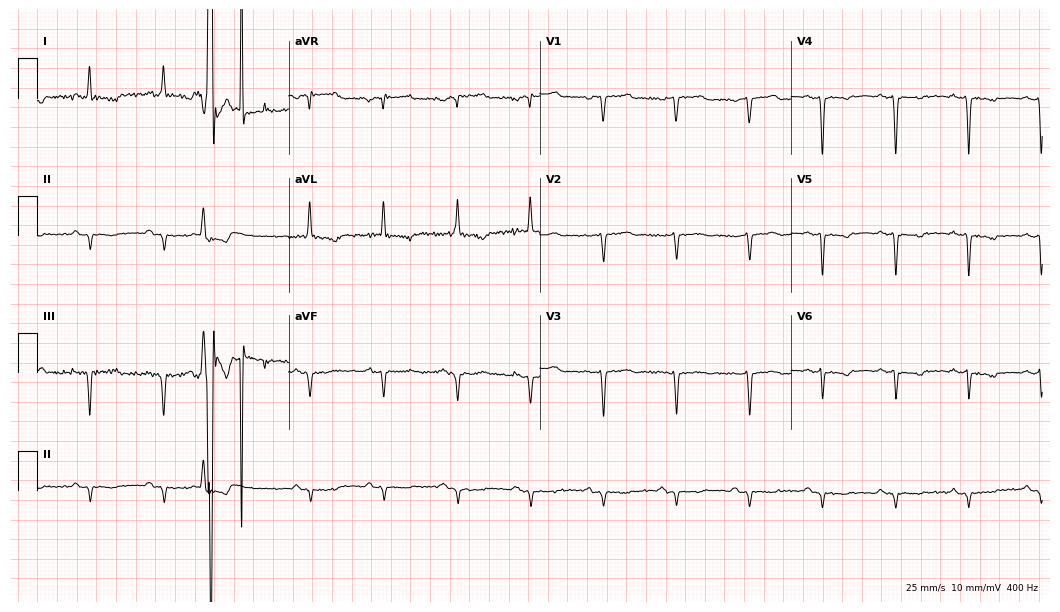
Electrocardiogram (10.2-second recording at 400 Hz), a female, 77 years old. Of the six screened findings (first-degree AV block, right bundle branch block, left bundle branch block, sinus bradycardia, atrial fibrillation, sinus tachycardia), none is recorded.